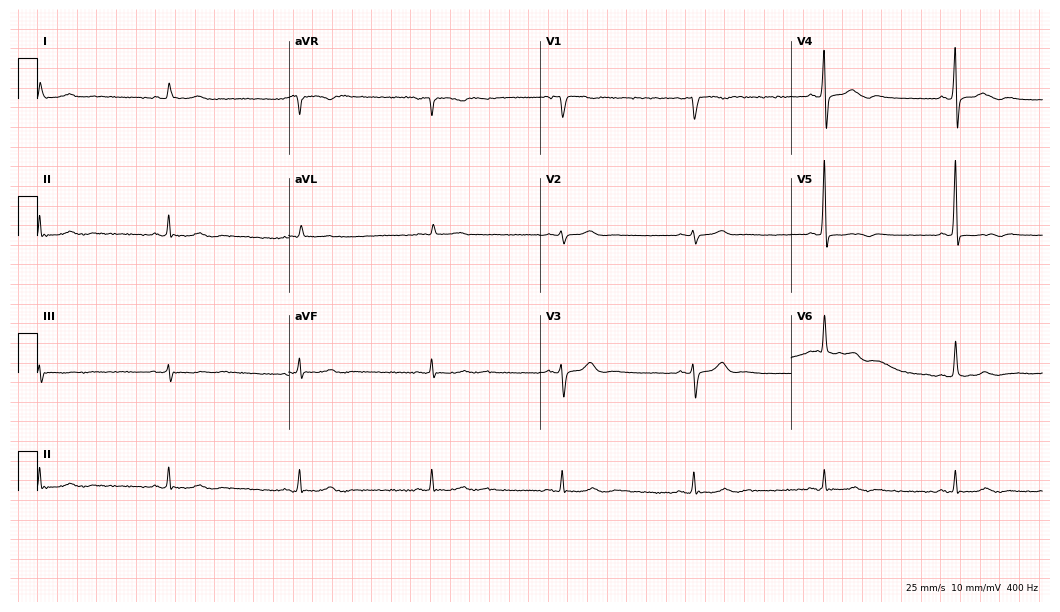
Resting 12-lead electrocardiogram (10.2-second recording at 400 Hz). Patient: a male, 69 years old. The tracing shows sinus bradycardia (a sinus rate of 50 beats per minute or less).